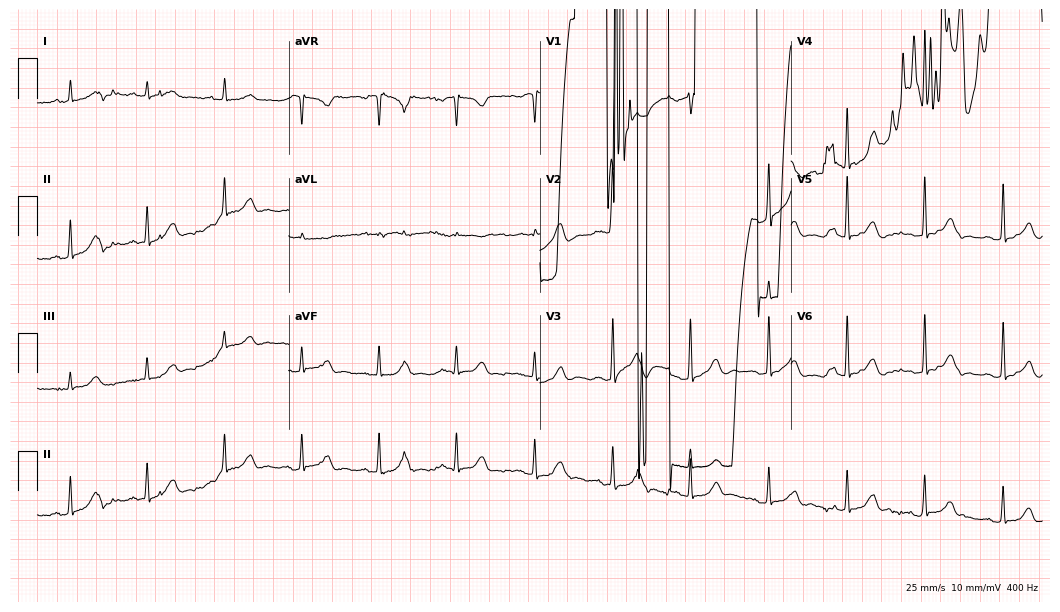
Resting 12-lead electrocardiogram (10.2-second recording at 400 Hz). Patient: an 81-year-old male. None of these six findings is recorded: first-degree AV block, right bundle branch block, left bundle branch block, sinus bradycardia, atrial fibrillation, sinus tachycardia.